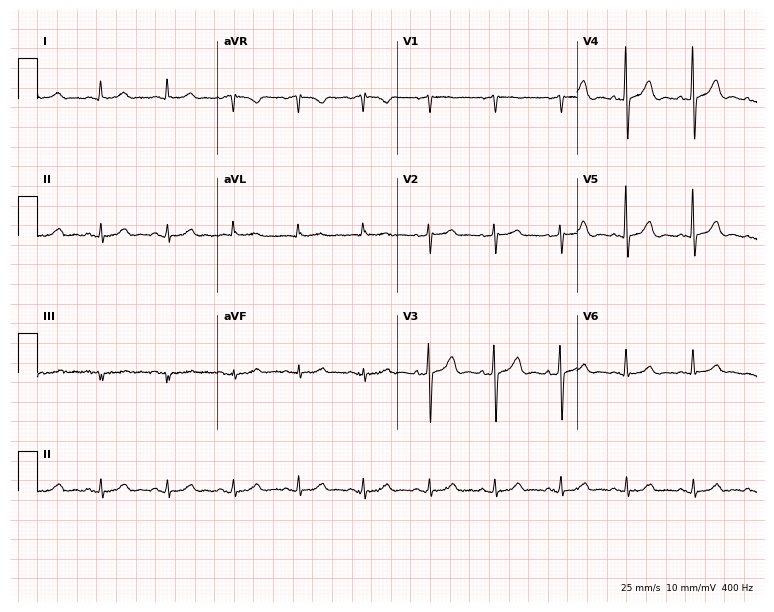
Electrocardiogram, a male patient, 70 years old. Of the six screened findings (first-degree AV block, right bundle branch block, left bundle branch block, sinus bradycardia, atrial fibrillation, sinus tachycardia), none is recorded. Other findings, if any, are not listed.